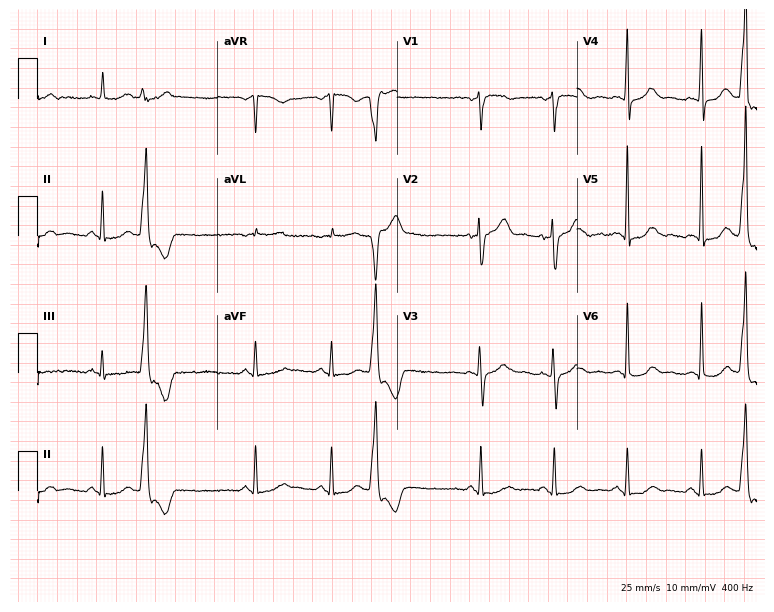
Resting 12-lead electrocardiogram (7.3-second recording at 400 Hz). Patient: a female, 77 years old. None of these six findings is recorded: first-degree AV block, right bundle branch block, left bundle branch block, sinus bradycardia, atrial fibrillation, sinus tachycardia.